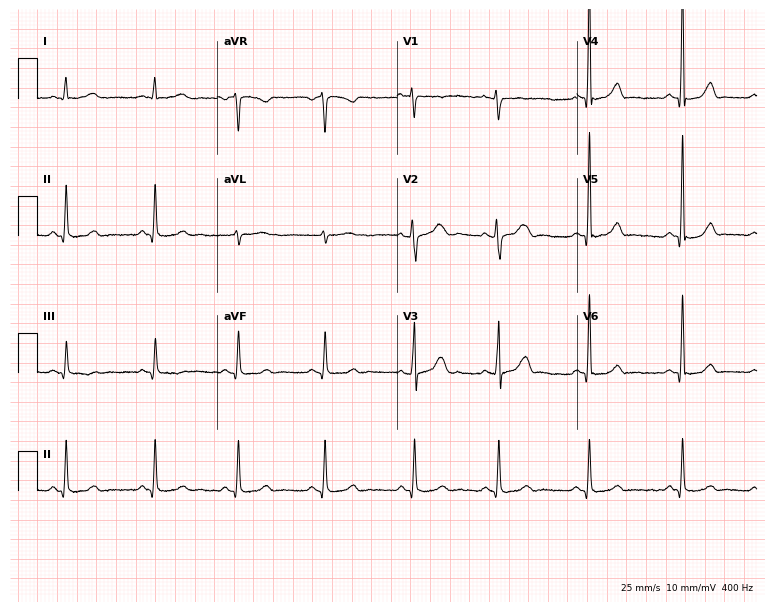
12-lead ECG (7.3-second recording at 400 Hz) from a woman, 48 years old. Screened for six findings — first-degree AV block, right bundle branch block, left bundle branch block, sinus bradycardia, atrial fibrillation, sinus tachycardia — none is recorded.